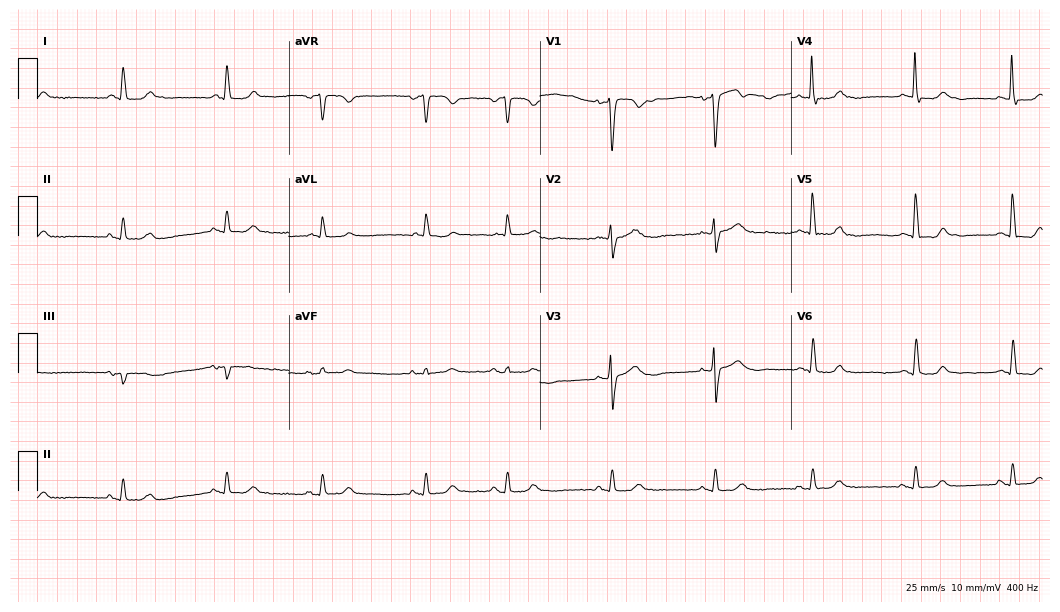
Resting 12-lead electrocardiogram. Patient: a 64-year-old female. None of these six findings is recorded: first-degree AV block, right bundle branch block (RBBB), left bundle branch block (LBBB), sinus bradycardia, atrial fibrillation (AF), sinus tachycardia.